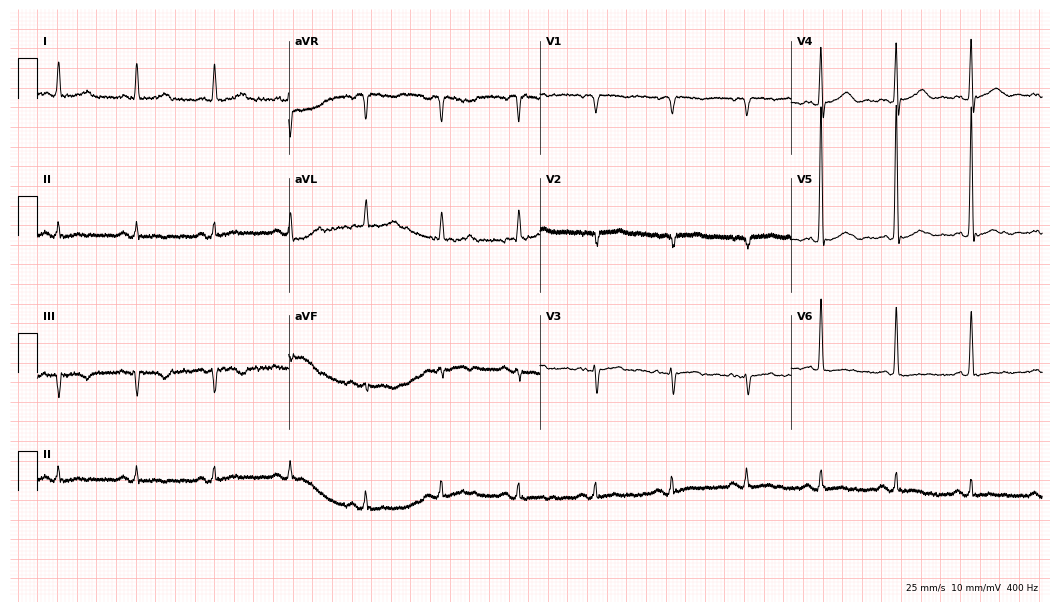
Resting 12-lead electrocardiogram. Patient: a 77-year-old female. None of these six findings is recorded: first-degree AV block, right bundle branch block, left bundle branch block, sinus bradycardia, atrial fibrillation, sinus tachycardia.